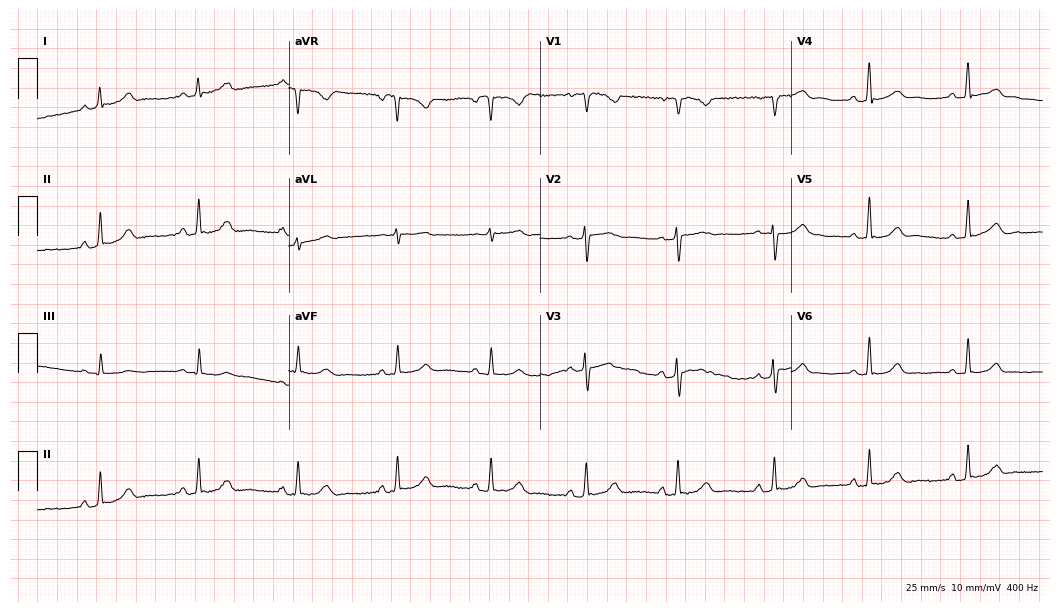
12-lead ECG (10.2-second recording at 400 Hz) from a woman, 60 years old. Labelled as a normal ECG.